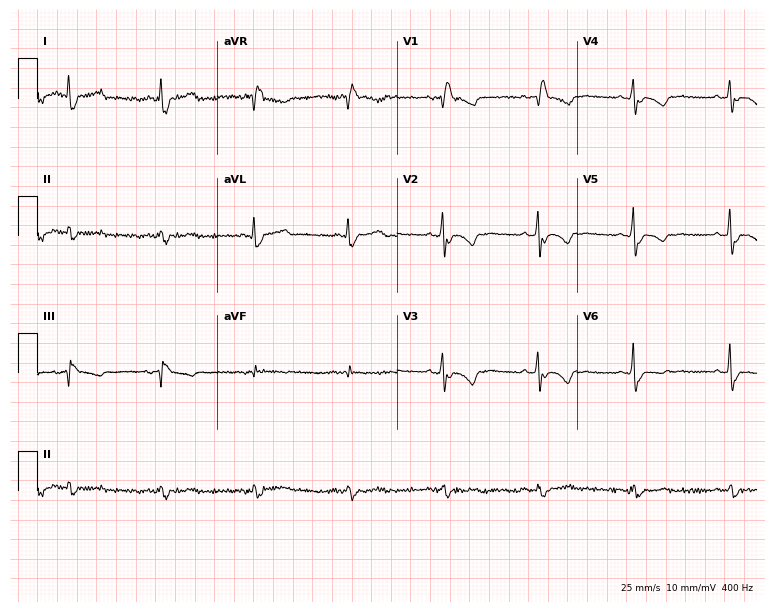
12-lead ECG from a 51-year-old woman. Findings include right bundle branch block.